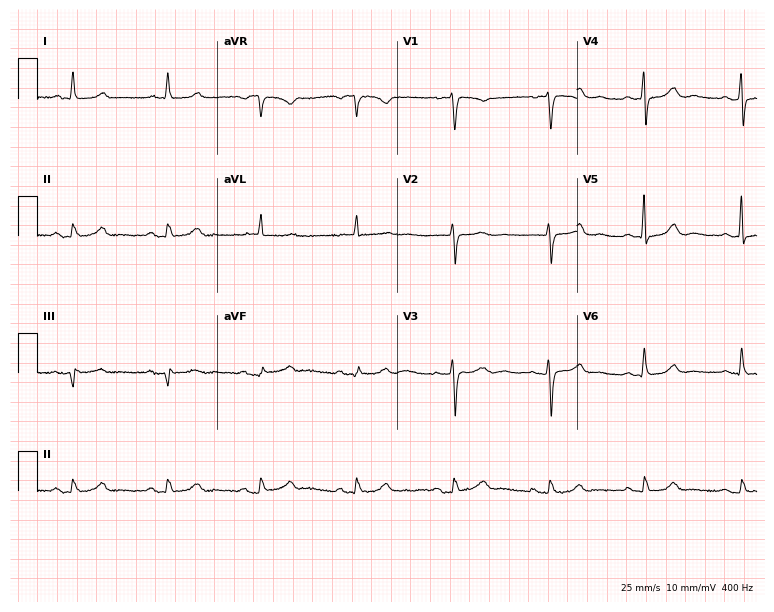
12-lead ECG from a 75-year-old woman. Recorded interpretation: within normal limits.